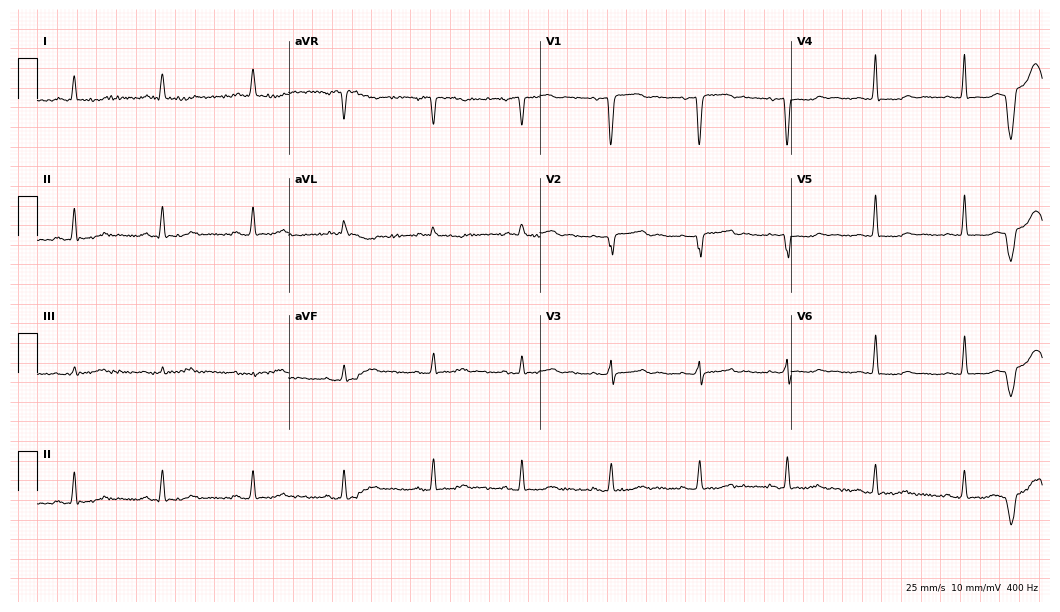
Electrocardiogram, a female patient, 64 years old. Of the six screened findings (first-degree AV block, right bundle branch block, left bundle branch block, sinus bradycardia, atrial fibrillation, sinus tachycardia), none is recorded.